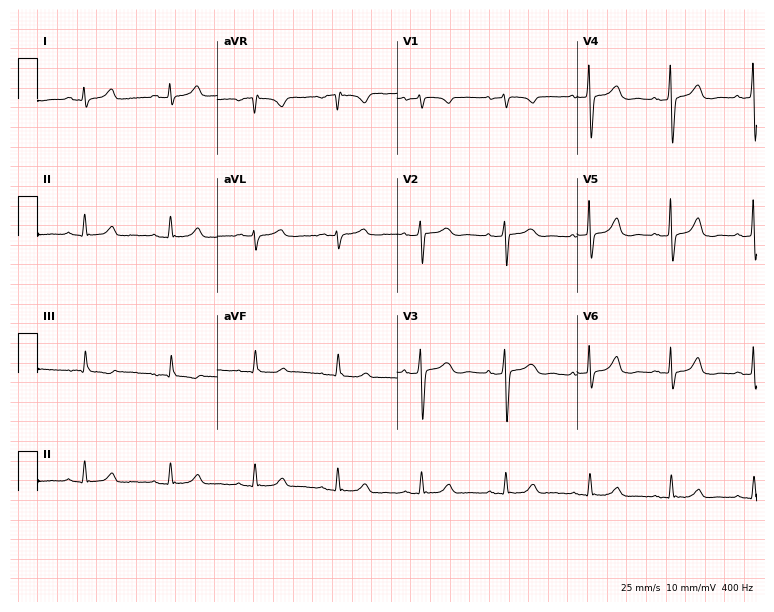
ECG (7.3-second recording at 400 Hz) — a 59-year-old female patient. Screened for six findings — first-degree AV block, right bundle branch block (RBBB), left bundle branch block (LBBB), sinus bradycardia, atrial fibrillation (AF), sinus tachycardia — none is recorded. Findings outside these six are not listed.